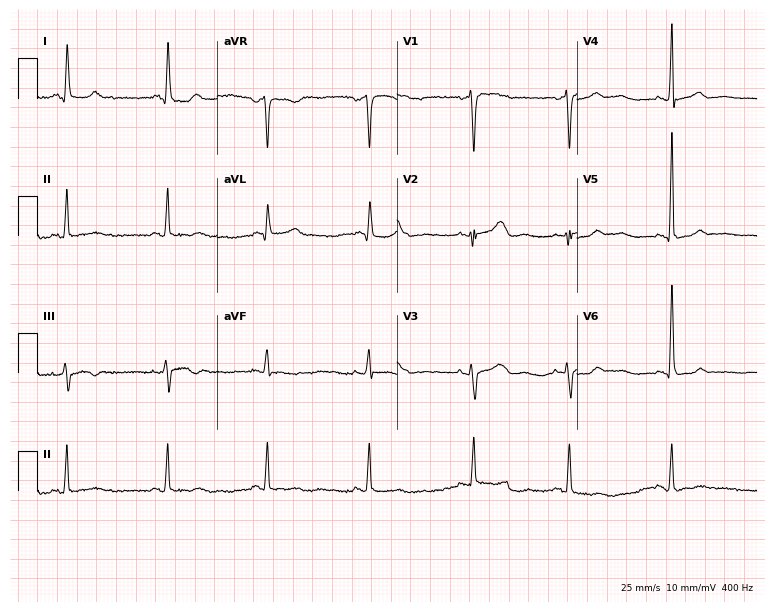
ECG — a 47-year-old female patient. Screened for six findings — first-degree AV block, right bundle branch block, left bundle branch block, sinus bradycardia, atrial fibrillation, sinus tachycardia — none is recorded.